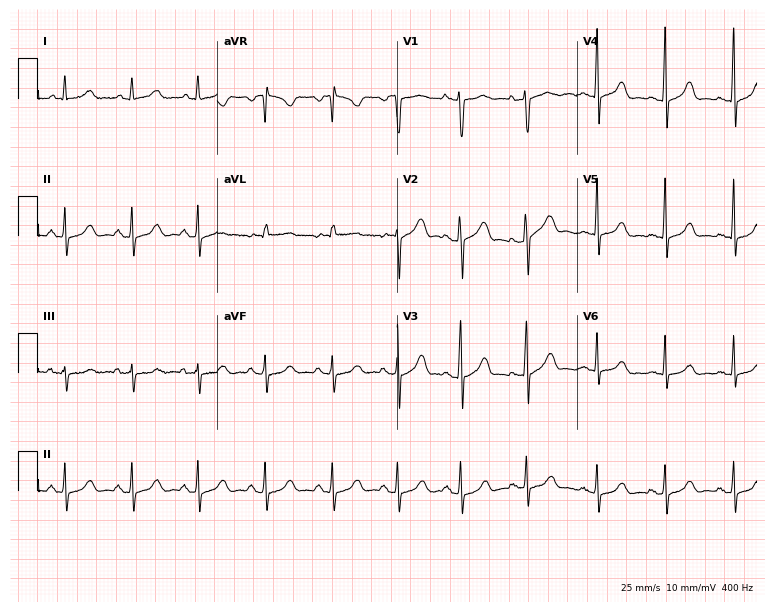
12-lead ECG from a 35-year-old woman (7.3-second recording at 400 Hz). Recorded interpretation: within normal limits.